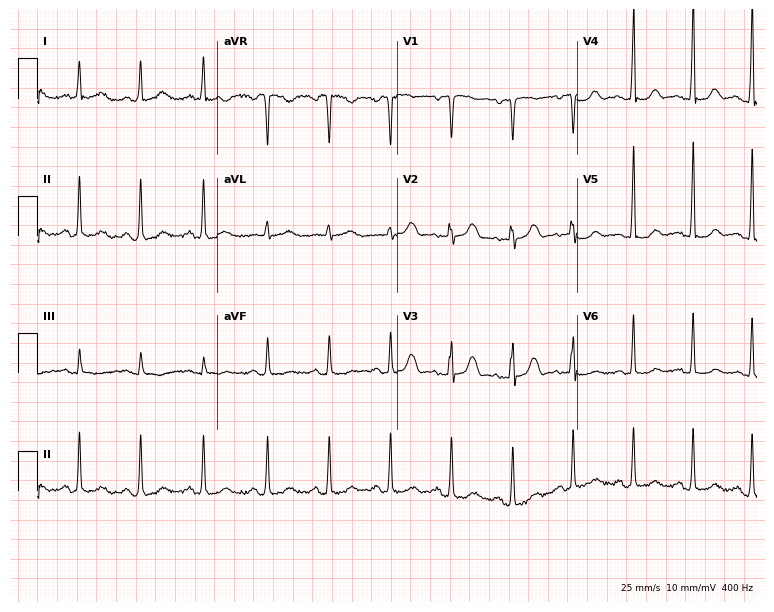
12-lead ECG from a 62-year-old female patient. Recorded interpretation: within normal limits.